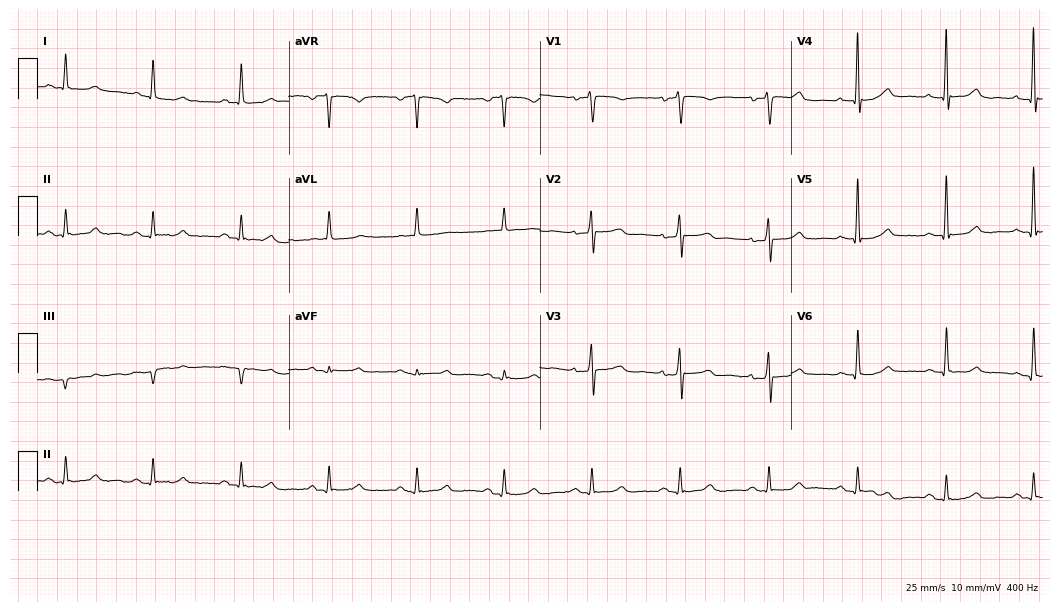
12-lead ECG from a woman, 60 years old. Labelled as a normal ECG.